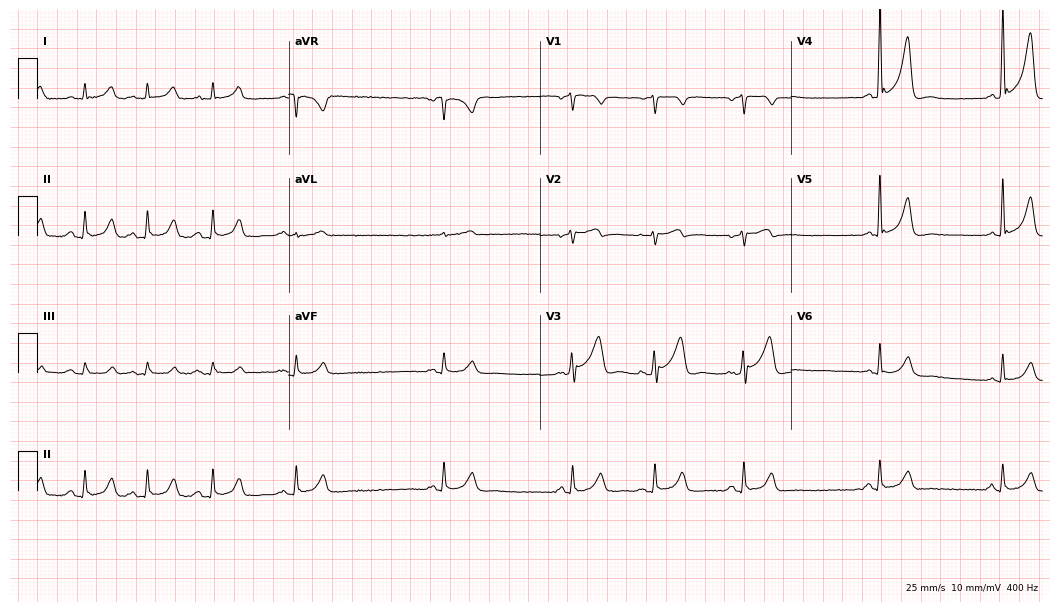
ECG — a man, 75 years old. Screened for six findings — first-degree AV block, right bundle branch block (RBBB), left bundle branch block (LBBB), sinus bradycardia, atrial fibrillation (AF), sinus tachycardia — none is recorded. Only these six findings were labelled.